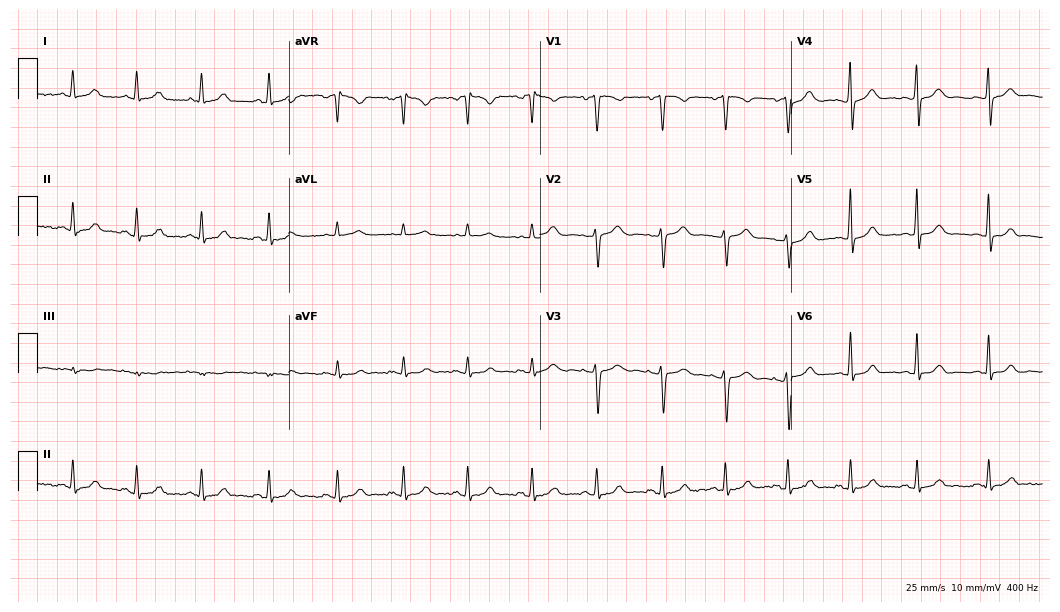
Standard 12-lead ECG recorded from a 28-year-old female (10.2-second recording at 400 Hz). Read as a normal ECG.